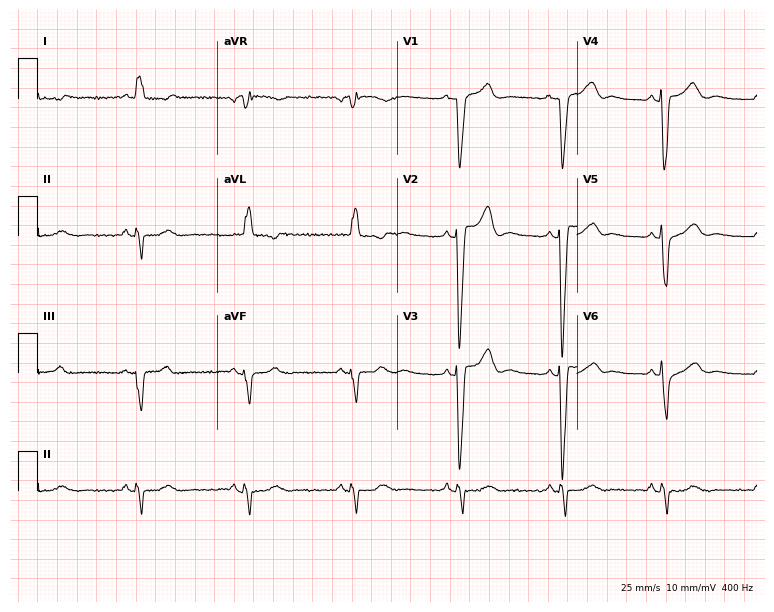
12-lead ECG from a woman, 70 years old. Findings include left bundle branch block (LBBB).